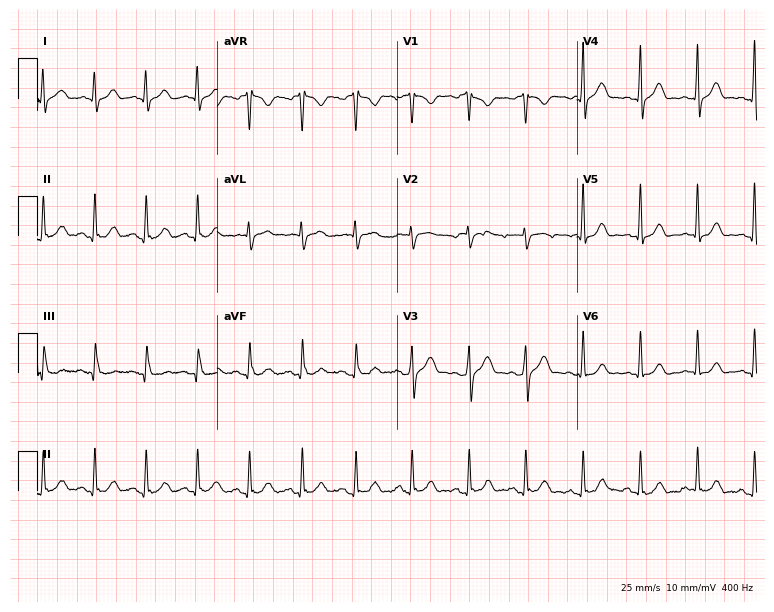
Electrocardiogram, a male, 33 years old. Interpretation includes sinus tachycardia (a sinus rate of 100 beats per minute or more).